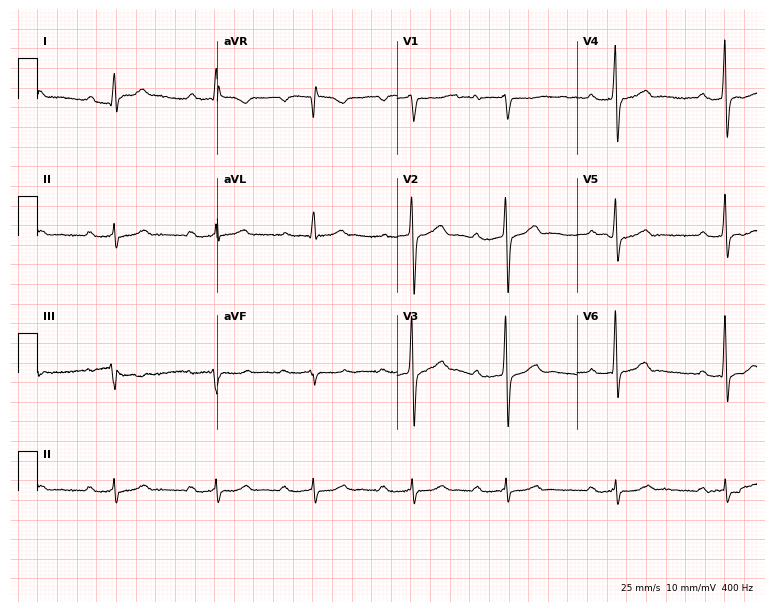
12-lead ECG from a male, 62 years old (7.3-second recording at 400 Hz). Shows first-degree AV block.